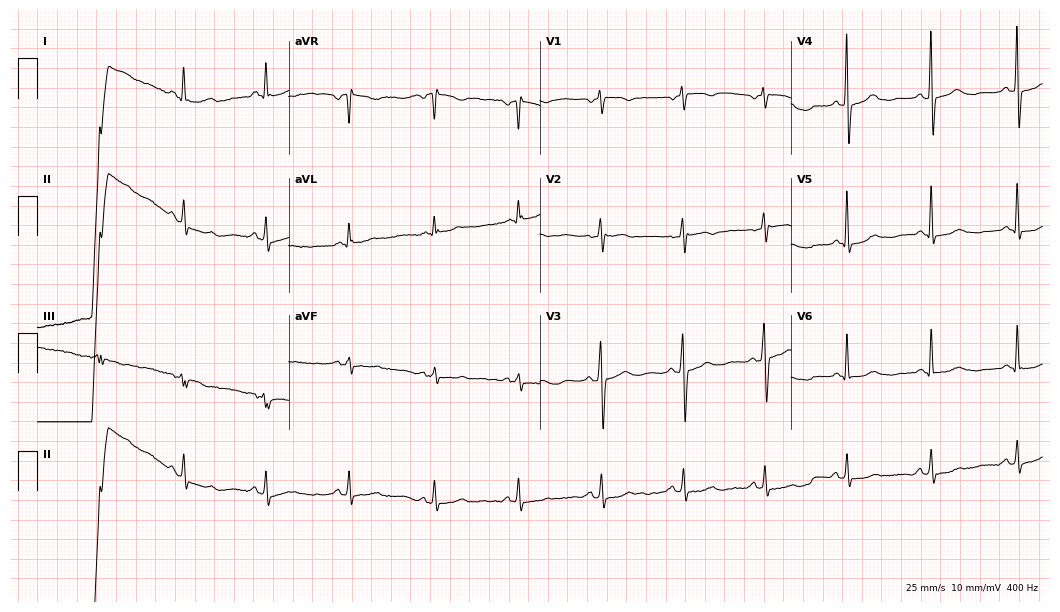
Electrocardiogram (10.2-second recording at 400 Hz), a woman, 67 years old. Overall reading on record: normal ECG.